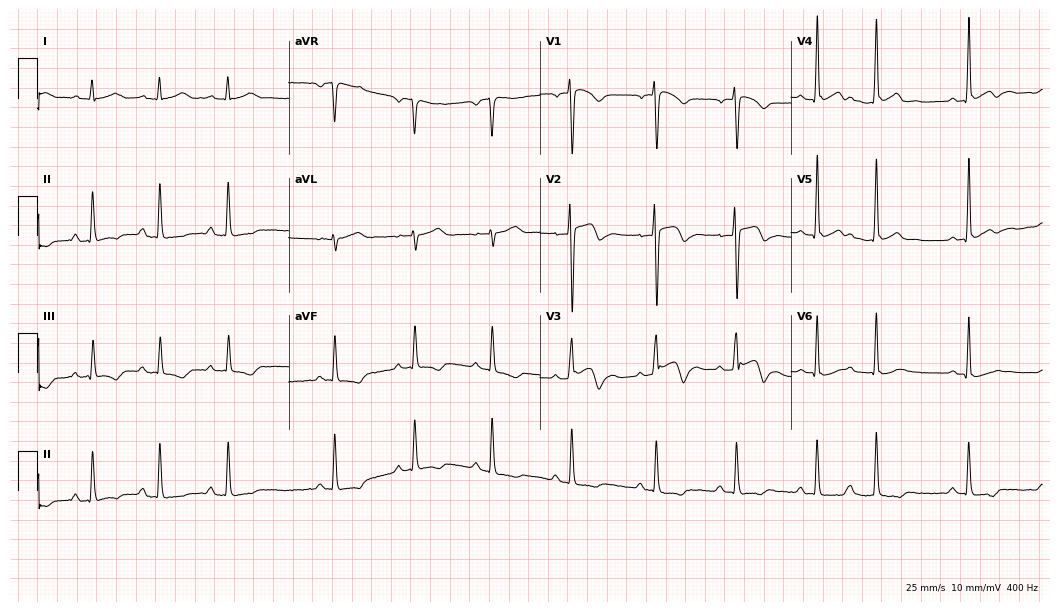
12-lead ECG from a 19-year-old man (10.2-second recording at 400 Hz). No first-degree AV block, right bundle branch block, left bundle branch block, sinus bradycardia, atrial fibrillation or sinus tachycardia recorded for this tracing.